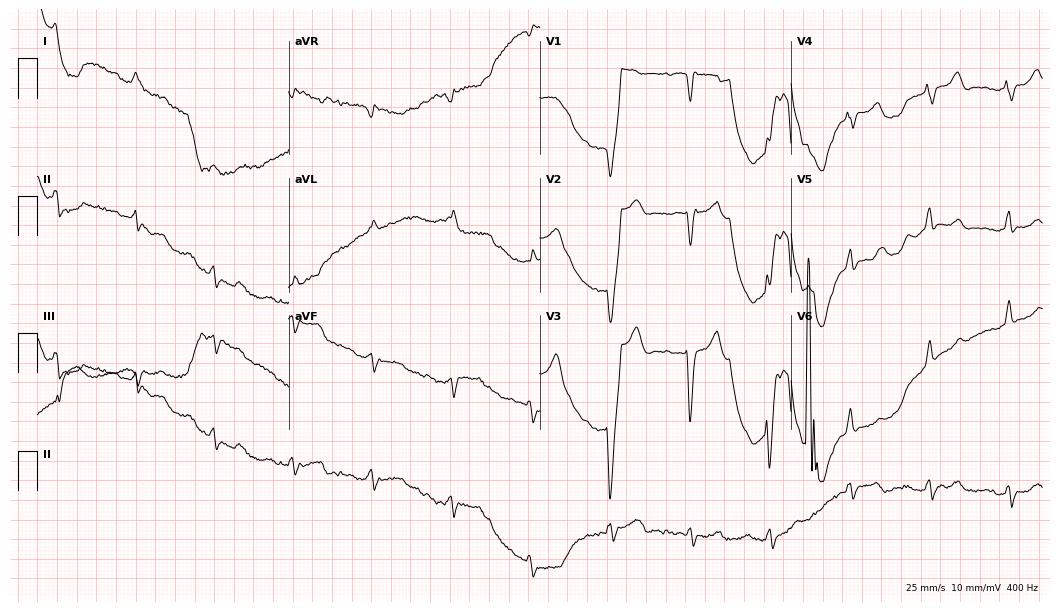
12-lead ECG (10.2-second recording at 400 Hz) from an 84-year-old female. Screened for six findings — first-degree AV block, right bundle branch block, left bundle branch block, sinus bradycardia, atrial fibrillation, sinus tachycardia — none is recorded. Other findings, if any, are not listed.